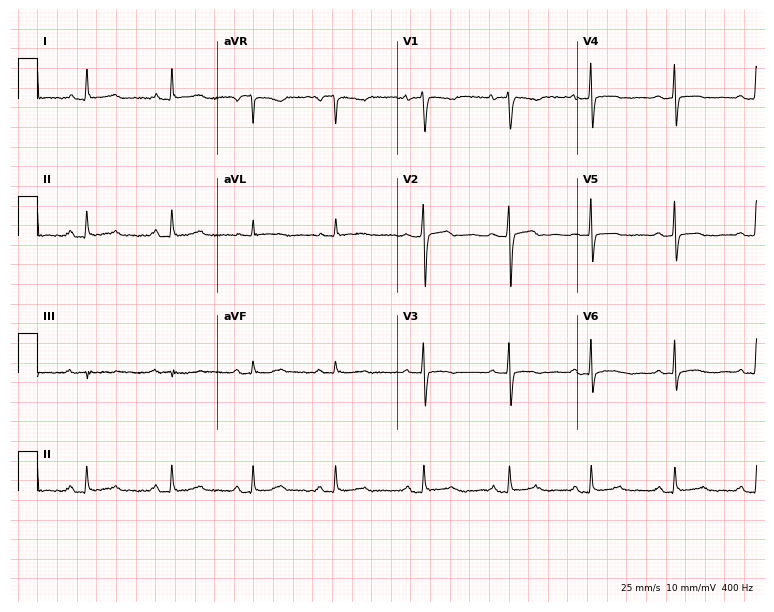
Resting 12-lead electrocardiogram. Patient: a 41-year-old female. None of these six findings is recorded: first-degree AV block, right bundle branch block, left bundle branch block, sinus bradycardia, atrial fibrillation, sinus tachycardia. Only these six findings were labelled.